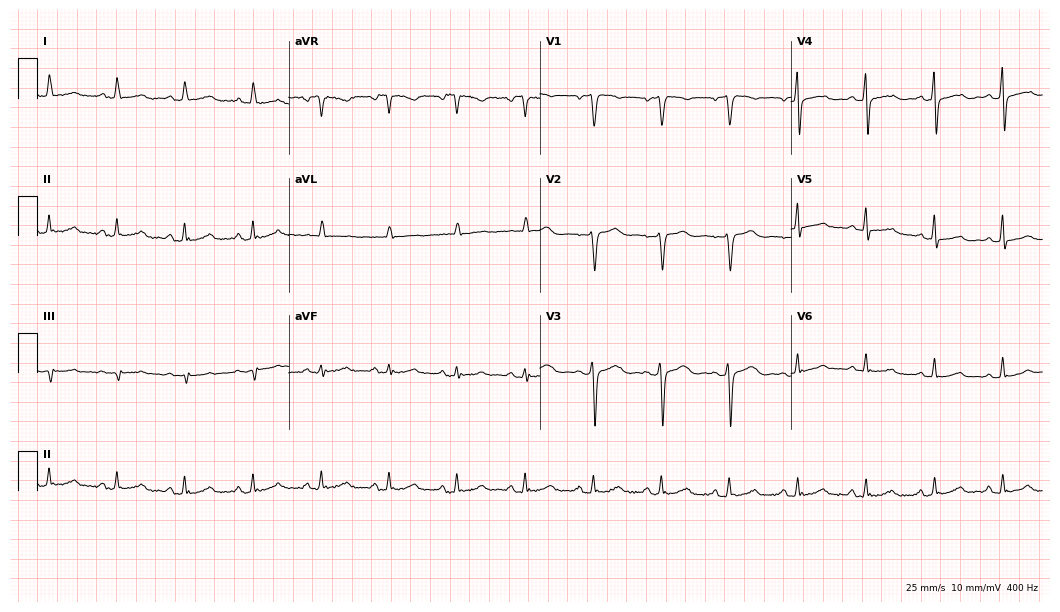
Standard 12-lead ECG recorded from a 53-year-old woman (10.2-second recording at 400 Hz). Read as a normal ECG.